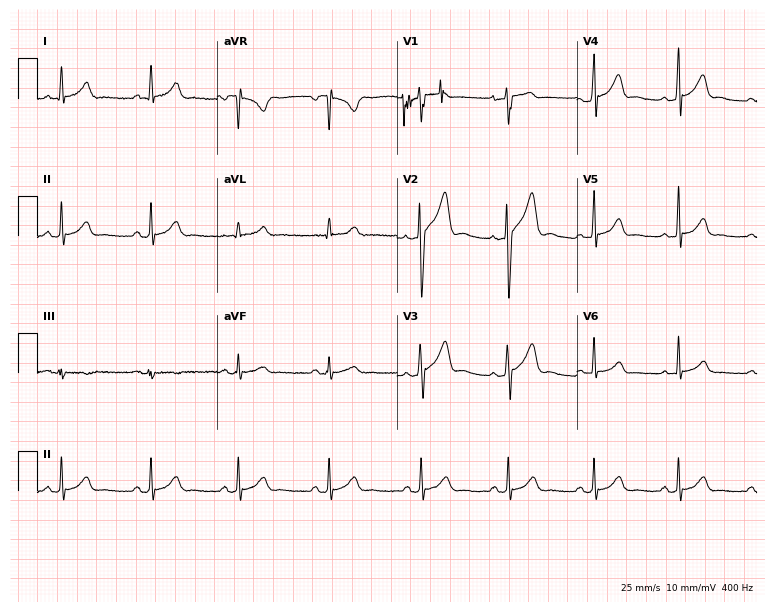
12-lead ECG (7.3-second recording at 400 Hz) from a 25-year-old male patient. Labelled as a normal ECG.